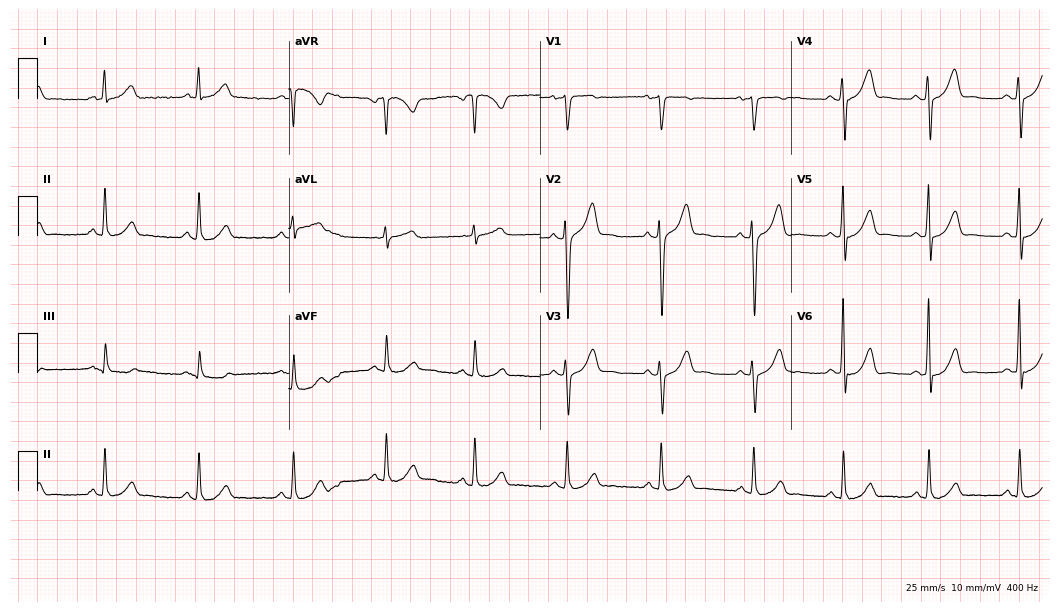
12-lead ECG from a male, 40 years old. Labelled as a normal ECG.